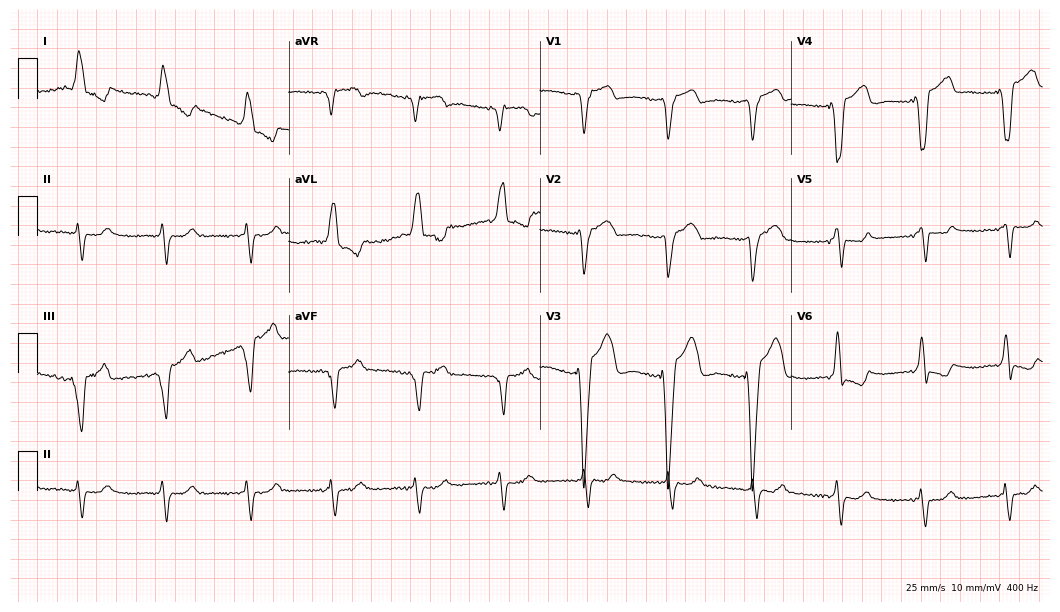
12-lead ECG from a woman, 71 years old. No first-degree AV block, right bundle branch block (RBBB), left bundle branch block (LBBB), sinus bradycardia, atrial fibrillation (AF) or sinus tachycardia recorded for this tracing. Only these six findings were labelled.